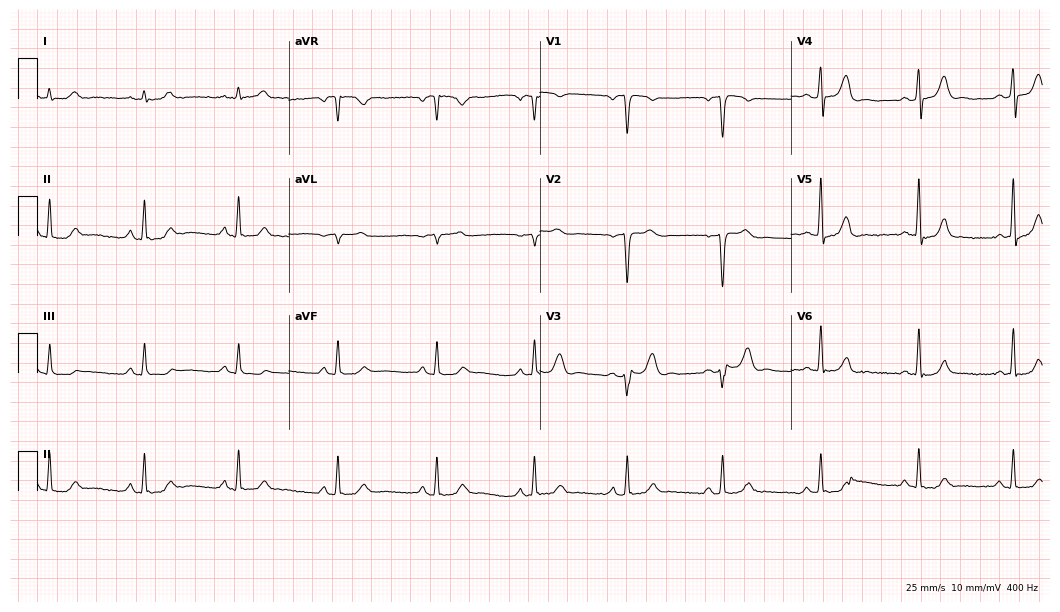
Electrocardiogram, a male patient, 45 years old. Of the six screened findings (first-degree AV block, right bundle branch block (RBBB), left bundle branch block (LBBB), sinus bradycardia, atrial fibrillation (AF), sinus tachycardia), none is recorded.